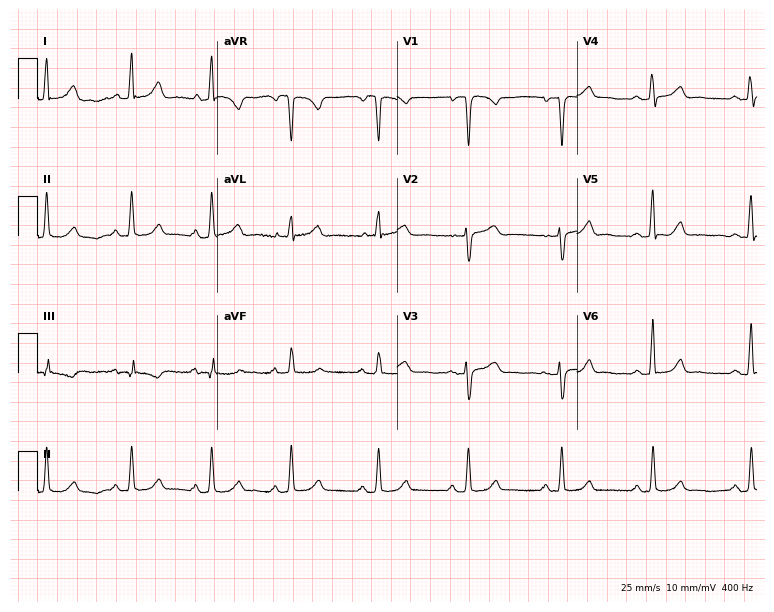
Resting 12-lead electrocardiogram (7.3-second recording at 400 Hz). Patient: a 43-year-old female. None of these six findings is recorded: first-degree AV block, right bundle branch block, left bundle branch block, sinus bradycardia, atrial fibrillation, sinus tachycardia. Only these six findings were labelled.